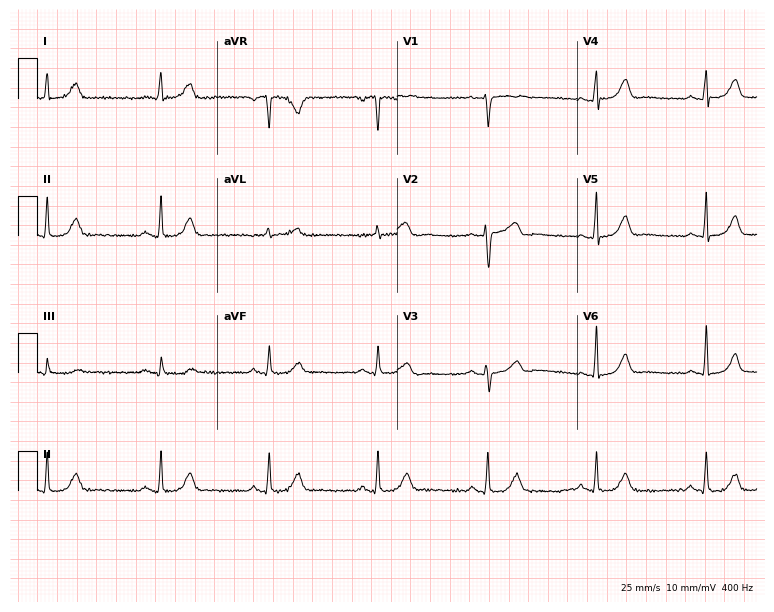
ECG (7.3-second recording at 400 Hz) — a 53-year-old female. Labelled as a normal ECG.